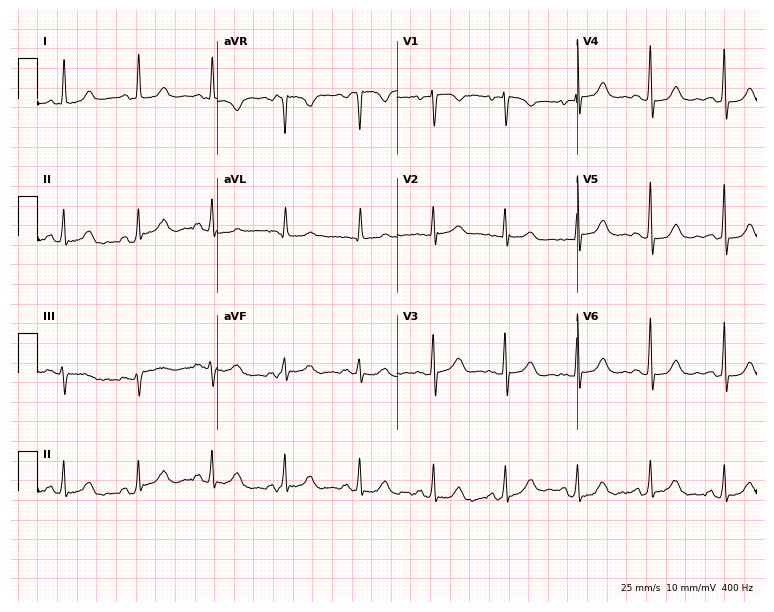
Resting 12-lead electrocardiogram (7.3-second recording at 400 Hz). Patient: a female, 71 years old. None of these six findings is recorded: first-degree AV block, right bundle branch block, left bundle branch block, sinus bradycardia, atrial fibrillation, sinus tachycardia. Only these six findings were labelled.